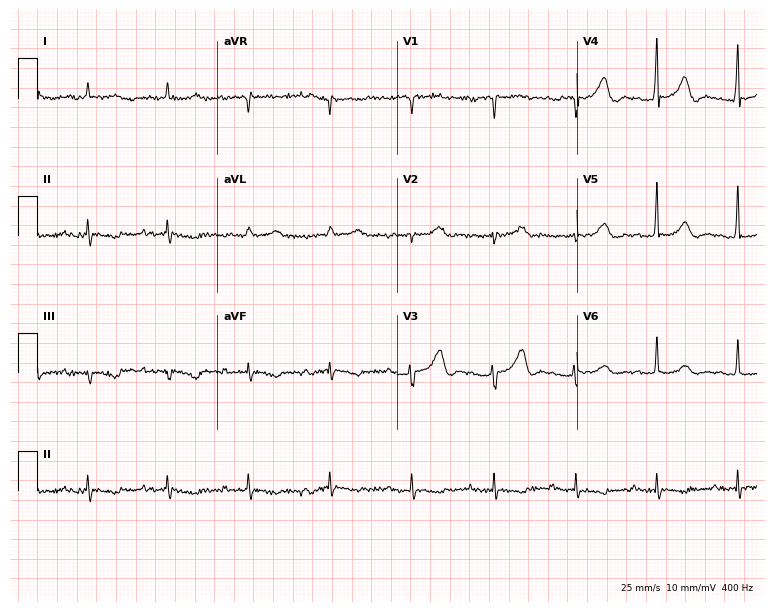
ECG (7.3-second recording at 400 Hz) — a male, 76 years old. Screened for six findings — first-degree AV block, right bundle branch block, left bundle branch block, sinus bradycardia, atrial fibrillation, sinus tachycardia — none is recorded. Findings outside these six are not listed.